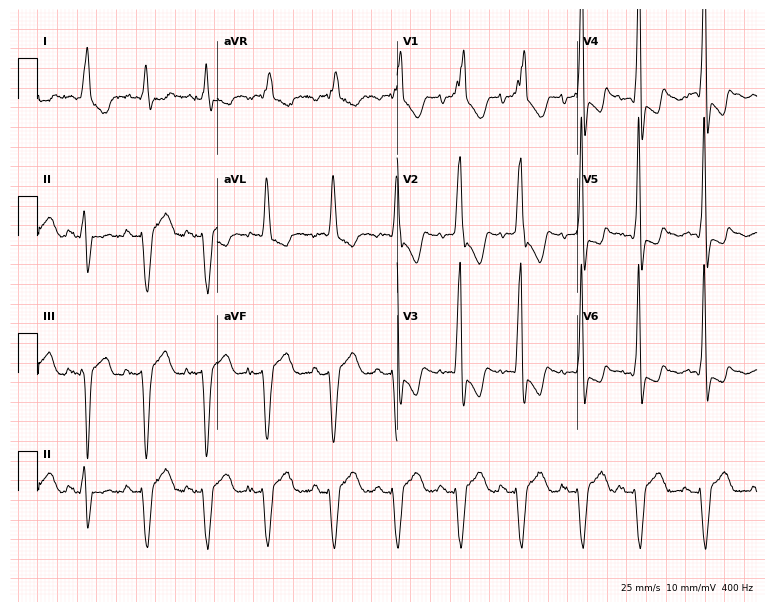
Electrocardiogram, a 70-year-old female patient. Interpretation includes right bundle branch block.